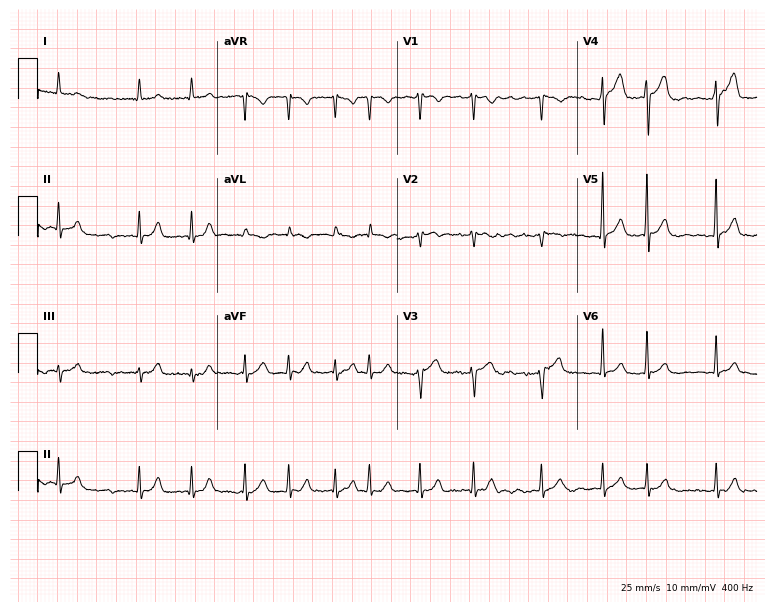
Standard 12-lead ECG recorded from a 75-year-old male (7.3-second recording at 400 Hz). The tracing shows atrial fibrillation.